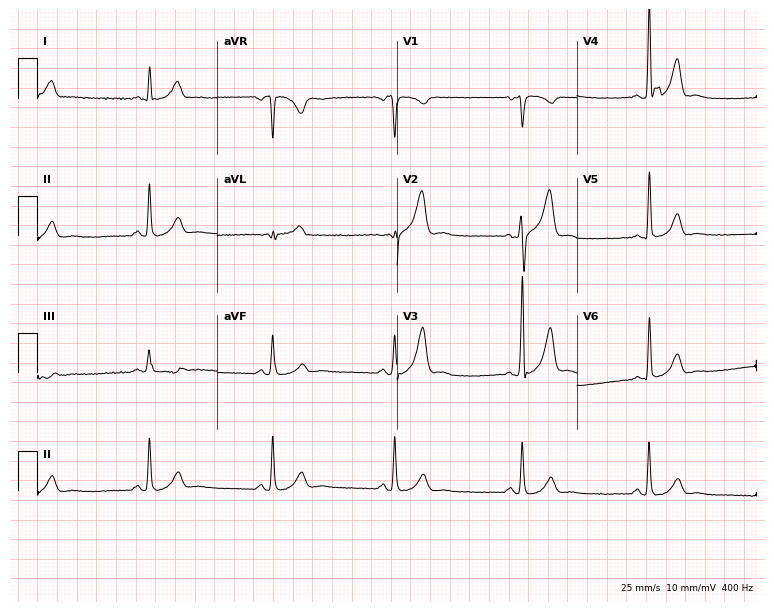
Standard 12-lead ECG recorded from a male patient, 43 years old. None of these six findings is recorded: first-degree AV block, right bundle branch block, left bundle branch block, sinus bradycardia, atrial fibrillation, sinus tachycardia.